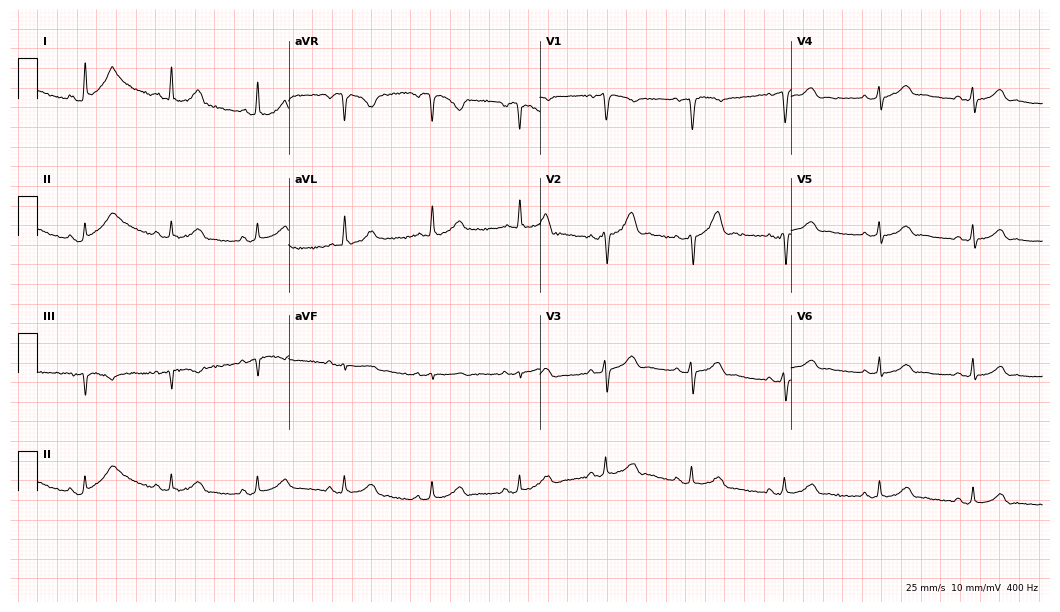
ECG (10.2-second recording at 400 Hz) — a 60-year-old female. Labelled as a normal ECG.